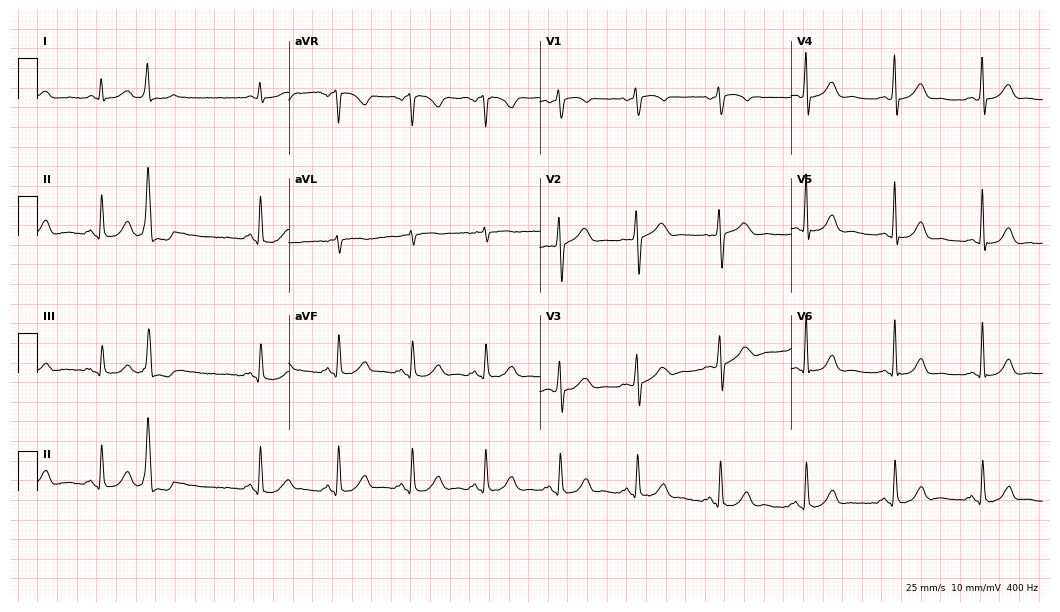
Standard 12-lead ECG recorded from a 52-year-old man (10.2-second recording at 400 Hz). Read as a normal ECG.